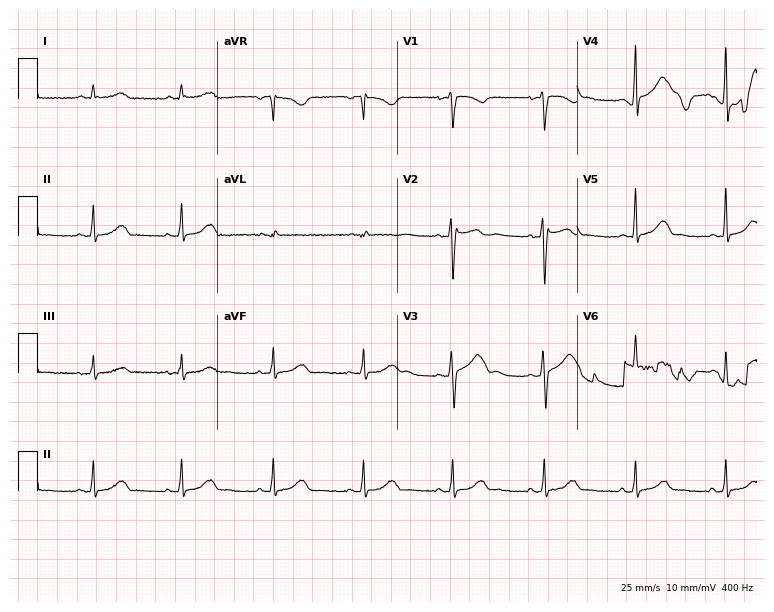
12-lead ECG from a 40-year-old female. Labelled as a normal ECG.